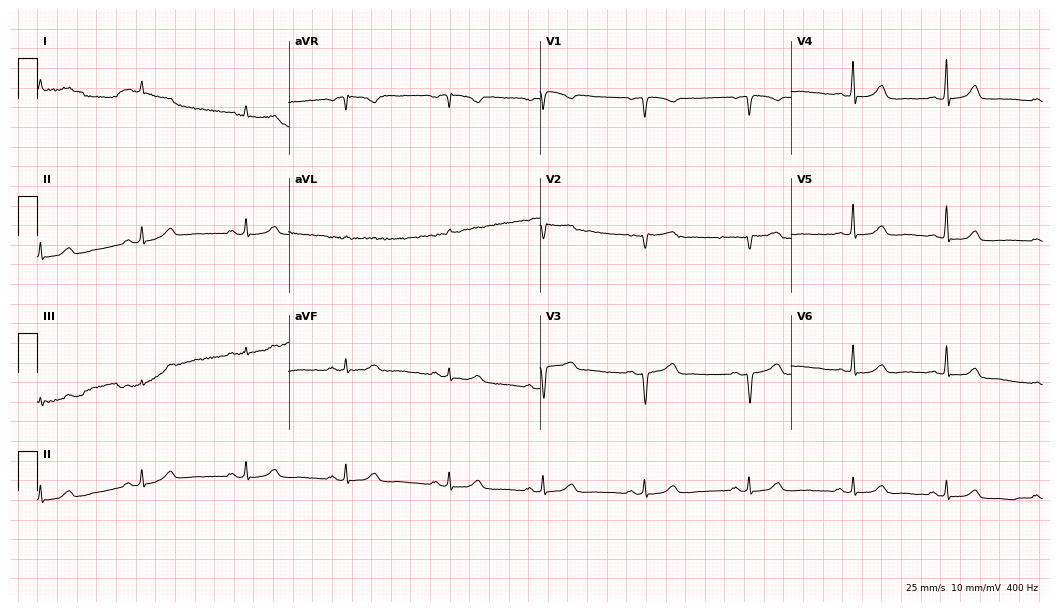
Electrocardiogram (10.2-second recording at 400 Hz), a 55-year-old female. Overall reading on record: normal ECG.